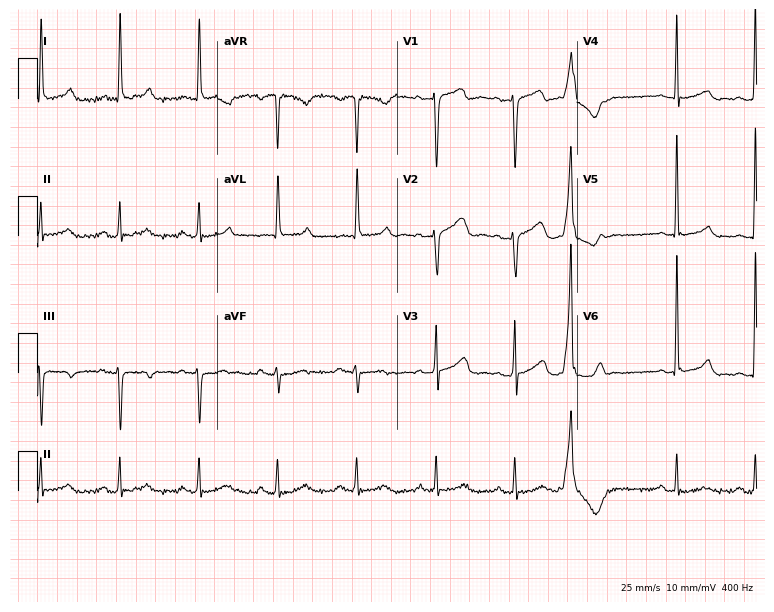
Resting 12-lead electrocardiogram (7.3-second recording at 400 Hz). Patient: a 61-year-old woman. None of these six findings is recorded: first-degree AV block, right bundle branch block (RBBB), left bundle branch block (LBBB), sinus bradycardia, atrial fibrillation (AF), sinus tachycardia.